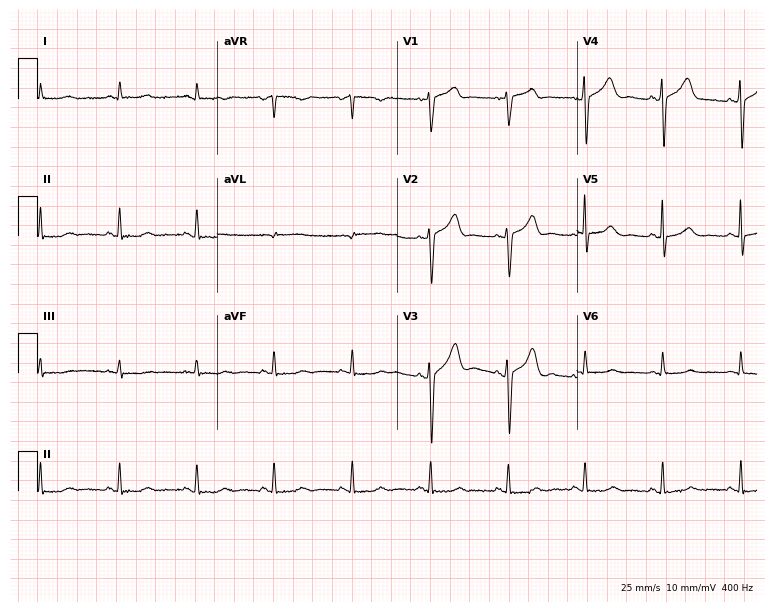
Resting 12-lead electrocardiogram (7.3-second recording at 400 Hz). Patient: an 80-year-old man. None of these six findings is recorded: first-degree AV block, right bundle branch block, left bundle branch block, sinus bradycardia, atrial fibrillation, sinus tachycardia. Only these six findings were labelled.